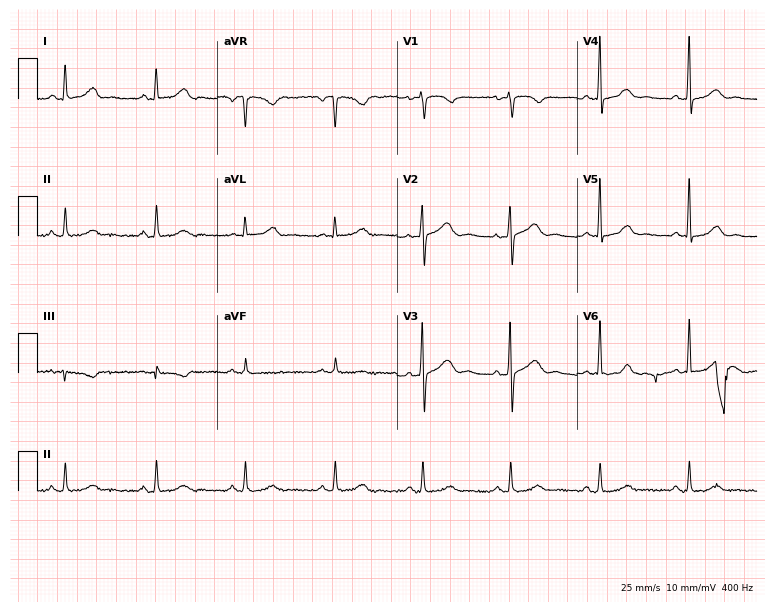
12-lead ECG from a 46-year-old female (7.3-second recording at 400 Hz). No first-degree AV block, right bundle branch block, left bundle branch block, sinus bradycardia, atrial fibrillation or sinus tachycardia recorded for this tracing.